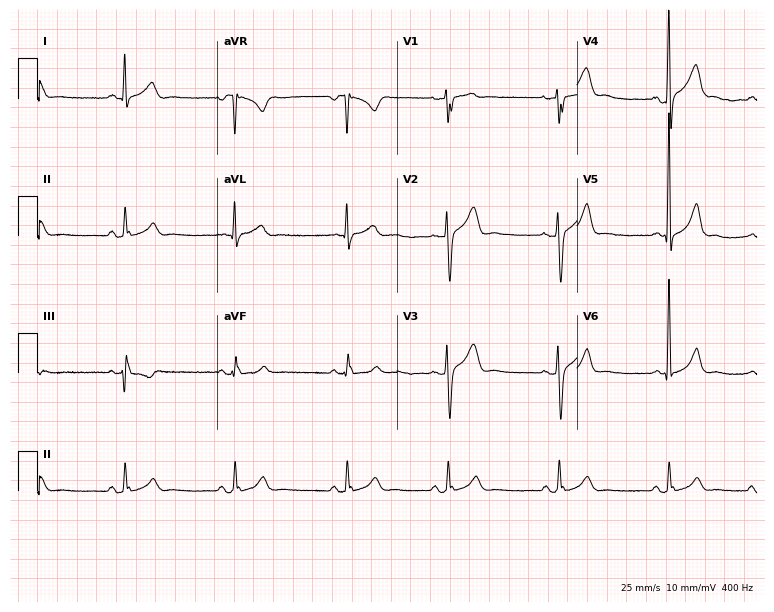
12-lead ECG from a man, 37 years old. Labelled as a normal ECG.